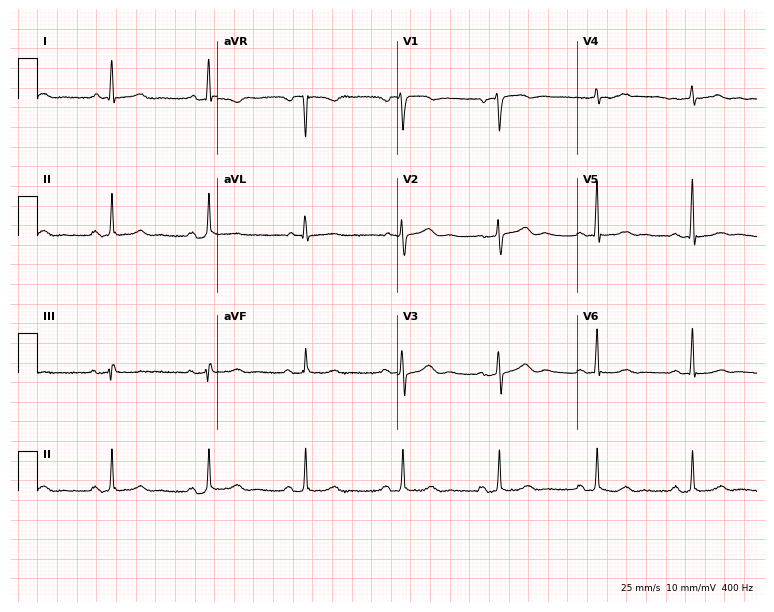
12-lead ECG from a 72-year-old female. Labelled as a normal ECG.